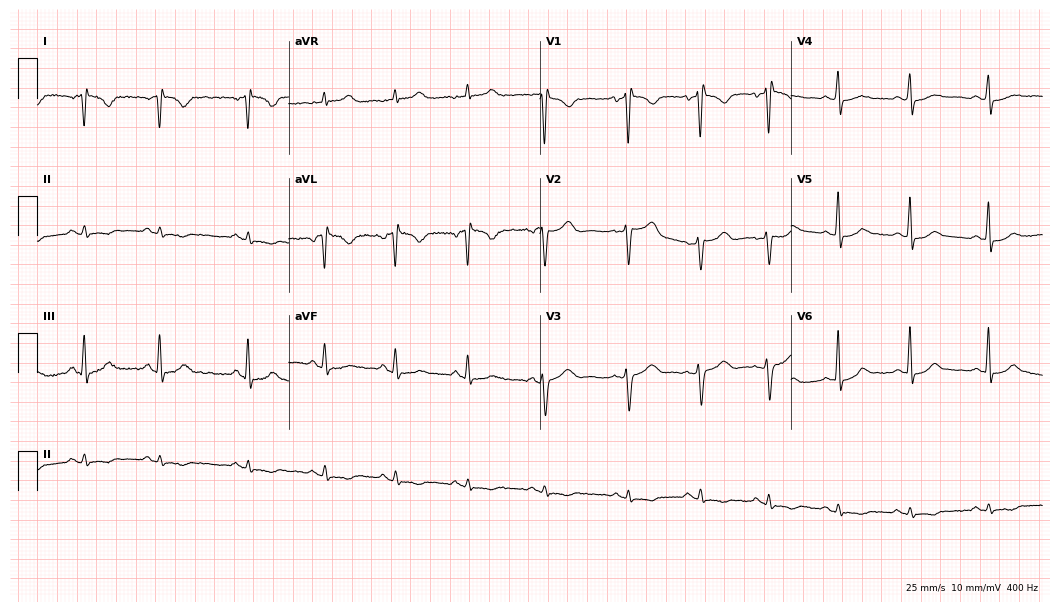
12-lead ECG (10.2-second recording at 400 Hz) from a 38-year-old woman. Screened for six findings — first-degree AV block, right bundle branch block (RBBB), left bundle branch block (LBBB), sinus bradycardia, atrial fibrillation (AF), sinus tachycardia — none is recorded. Only these six findings were labelled.